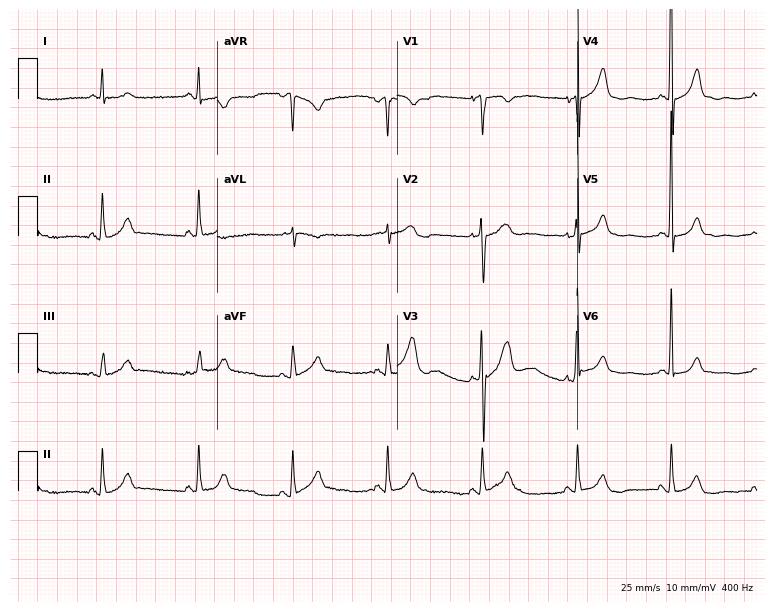
ECG — a female, 75 years old. Labelled as a normal ECG.